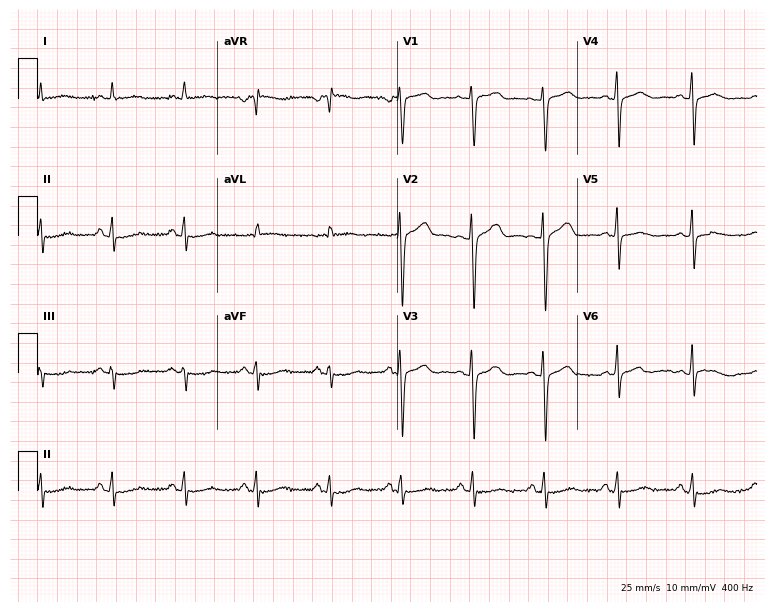
12-lead ECG (7.3-second recording at 400 Hz) from a woman, 56 years old. Screened for six findings — first-degree AV block, right bundle branch block (RBBB), left bundle branch block (LBBB), sinus bradycardia, atrial fibrillation (AF), sinus tachycardia — none is recorded.